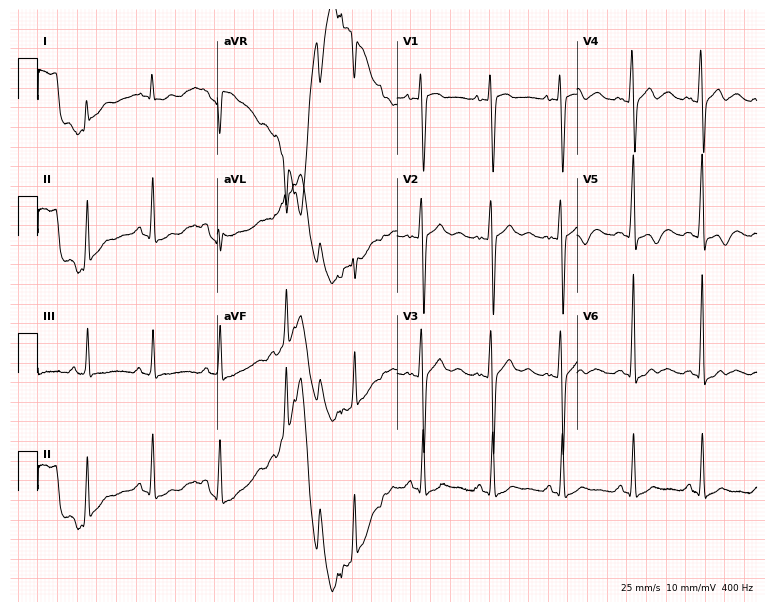
12-lead ECG (7.3-second recording at 400 Hz) from a man, 23 years old. Screened for six findings — first-degree AV block, right bundle branch block, left bundle branch block, sinus bradycardia, atrial fibrillation, sinus tachycardia — none is recorded. Only these six findings were labelled.